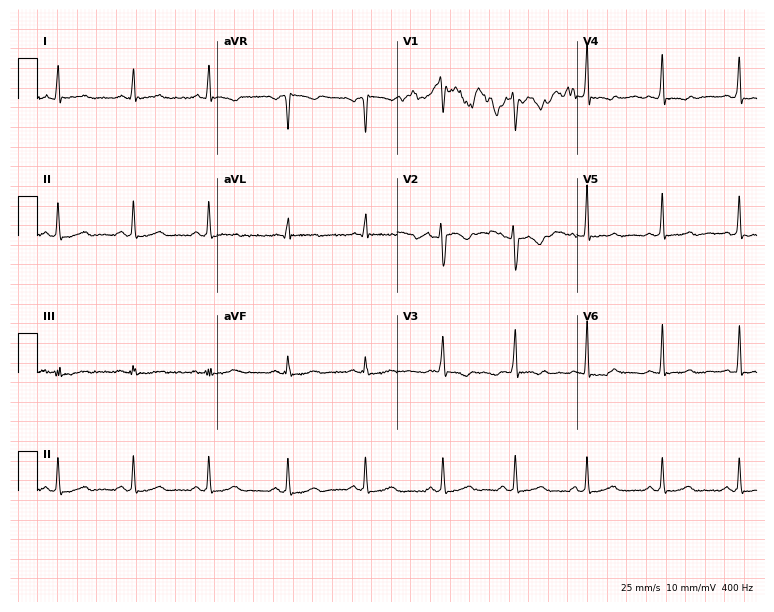
Resting 12-lead electrocardiogram. Patient: a woman, 33 years old. None of these six findings is recorded: first-degree AV block, right bundle branch block, left bundle branch block, sinus bradycardia, atrial fibrillation, sinus tachycardia. Only these six findings were labelled.